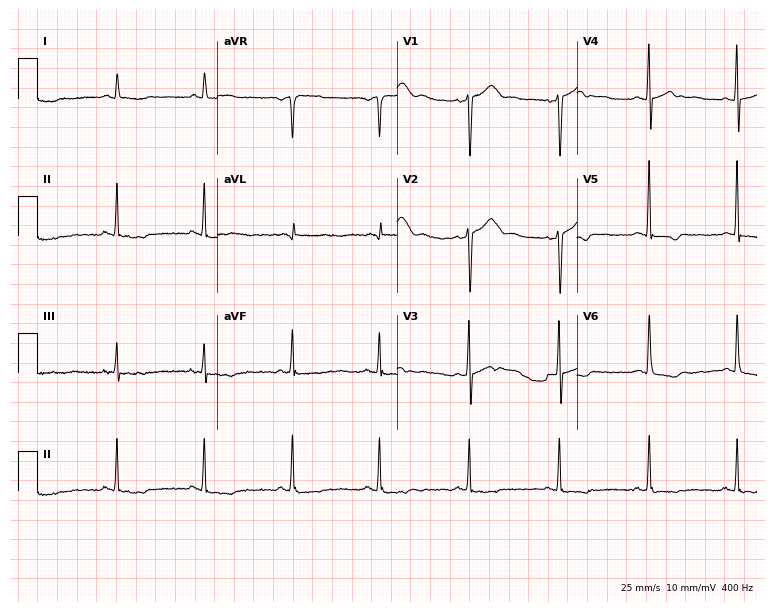
ECG (7.3-second recording at 400 Hz) — a male, 78 years old. Screened for six findings — first-degree AV block, right bundle branch block (RBBB), left bundle branch block (LBBB), sinus bradycardia, atrial fibrillation (AF), sinus tachycardia — none is recorded.